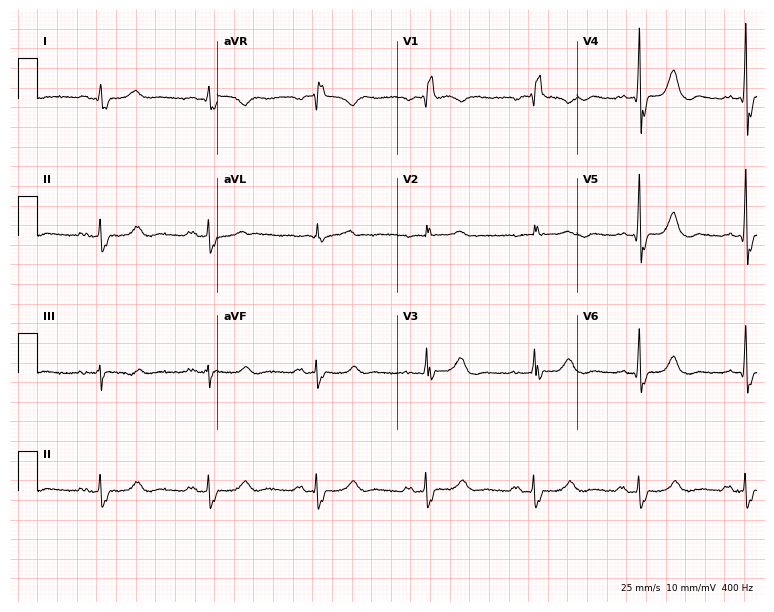
Electrocardiogram (7.3-second recording at 400 Hz), a 59-year-old male patient. Interpretation includes right bundle branch block.